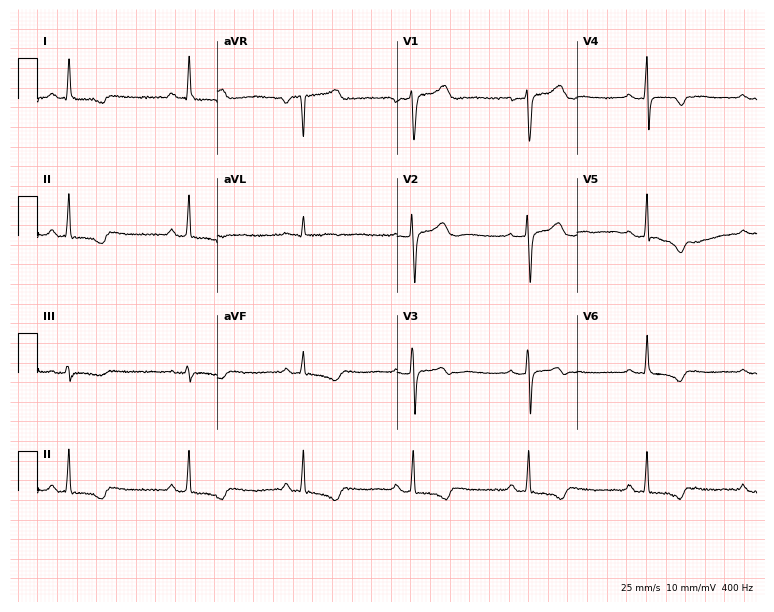
Resting 12-lead electrocardiogram (7.3-second recording at 400 Hz). Patient: a 49-year-old female. None of these six findings is recorded: first-degree AV block, right bundle branch block (RBBB), left bundle branch block (LBBB), sinus bradycardia, atrial fibrillation (AF), sinus tachycardia.